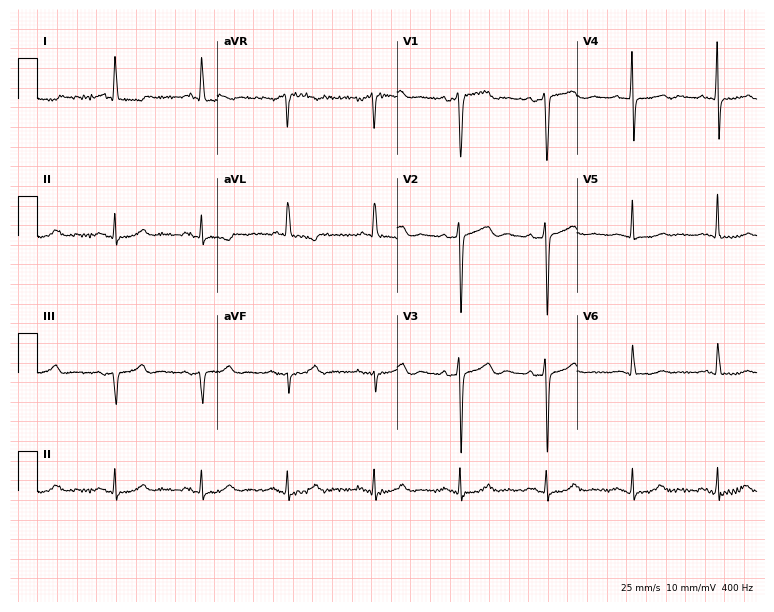
Electrocardiogram (7.3-second recording at 400 Hz), a female, 68 years old. Of the six screened findings (first-degree AV block, right bundle branch block, left bundle branch block, sinus bradycardia, atrial fibrillation, sinus tachycardia), none is recorded.